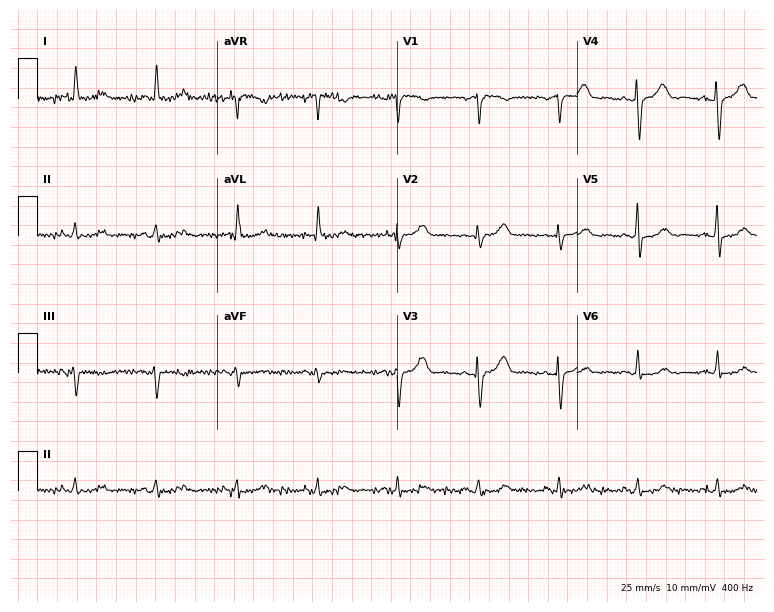
Resting 12-lead electrocardiogram. Patient: a 77-year-old female. None of these six findings is recorded: first-degree AV block, right bundle branch block, left bundle branch block, sinus bradycardia, atrial fibrillation, sinus tachycardia.